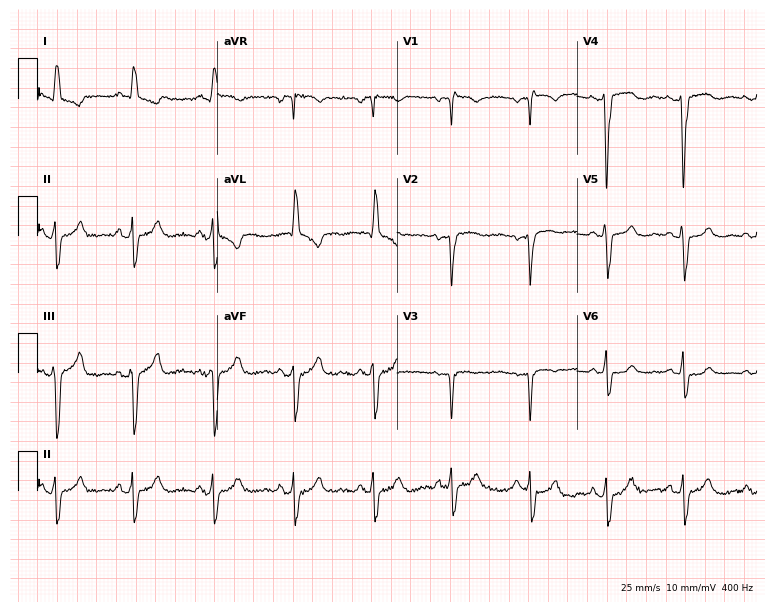
12-lead ECG from a female patient, 35 years old. Screened for six findings — first-degree AV block, right bundle branch block (RBBB), left bundle branch block (LBBB), sinus bradycardia, atrial fibrillation (AF), sinus tachycardia — none is recorded.